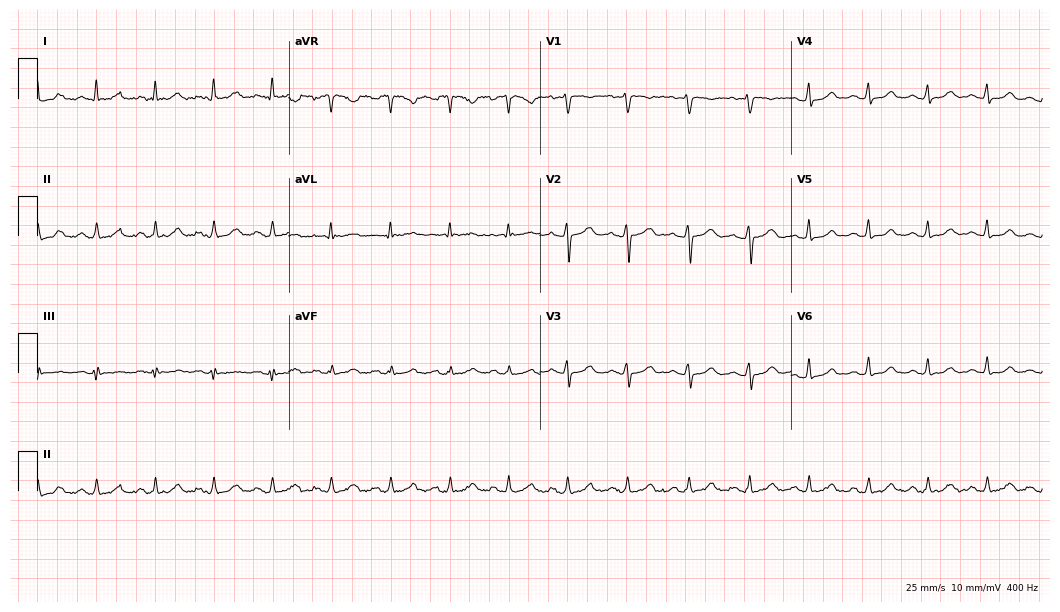
12-lead ECG from a female patient, 46 years old. Recorded interpretation: within normal limits.